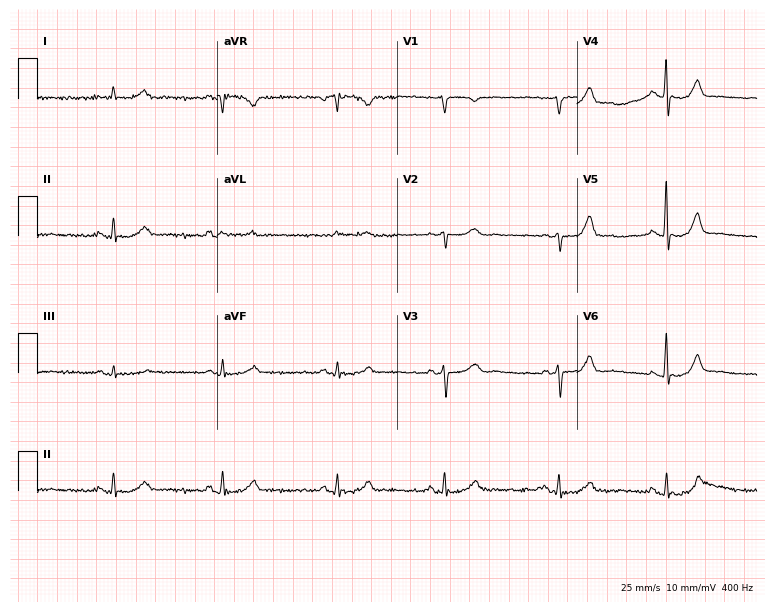
Resting 12-lead electrocardiogram (7.3-second recording at 400 Hz). Patient: a 67-year-old male. Read as a normal ECG.